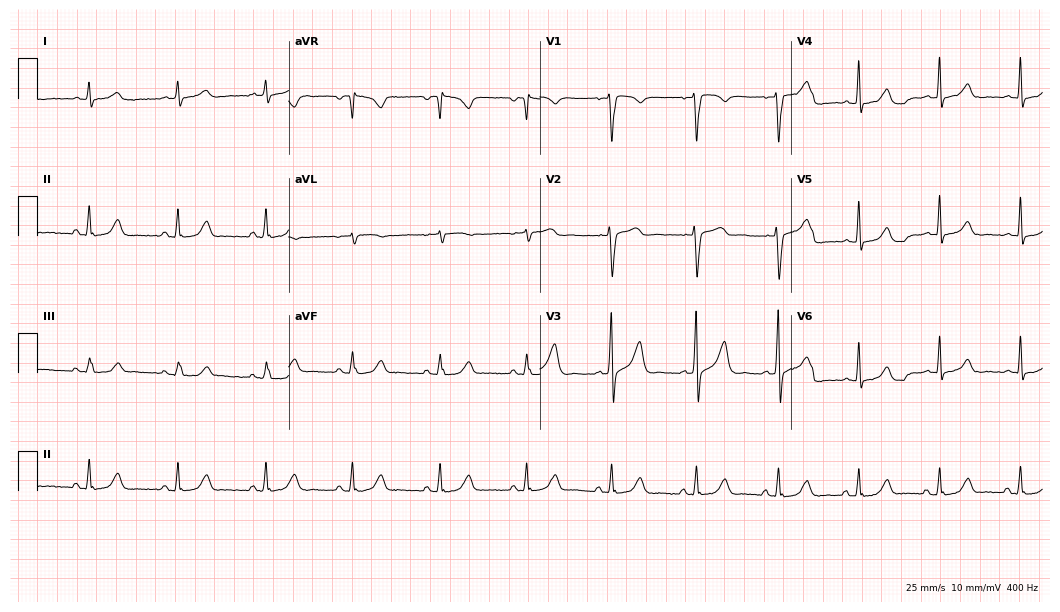
12-lead ECG from a 60-year-old male patient. Recorded interpretation: within normal limits.